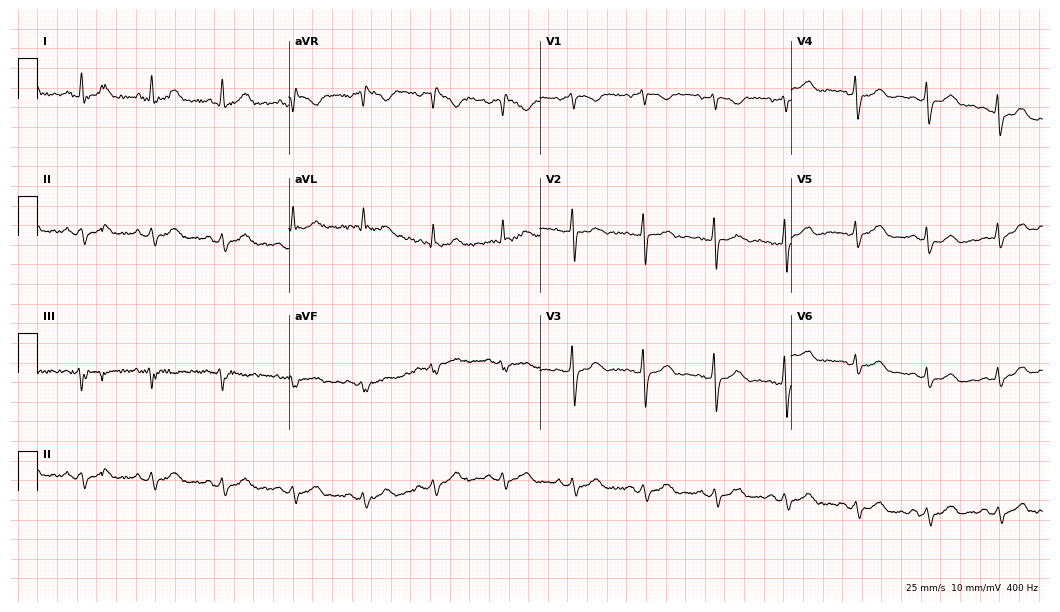
12-lead ECG from a 63-year-old female. Screened for six findings — first-degree AV block, right bundle branch block, left bundle branch block, sinus bradycardia, atrial fibrillation, sinus tachycardia — none is recorded. Only these six findings were labelled.